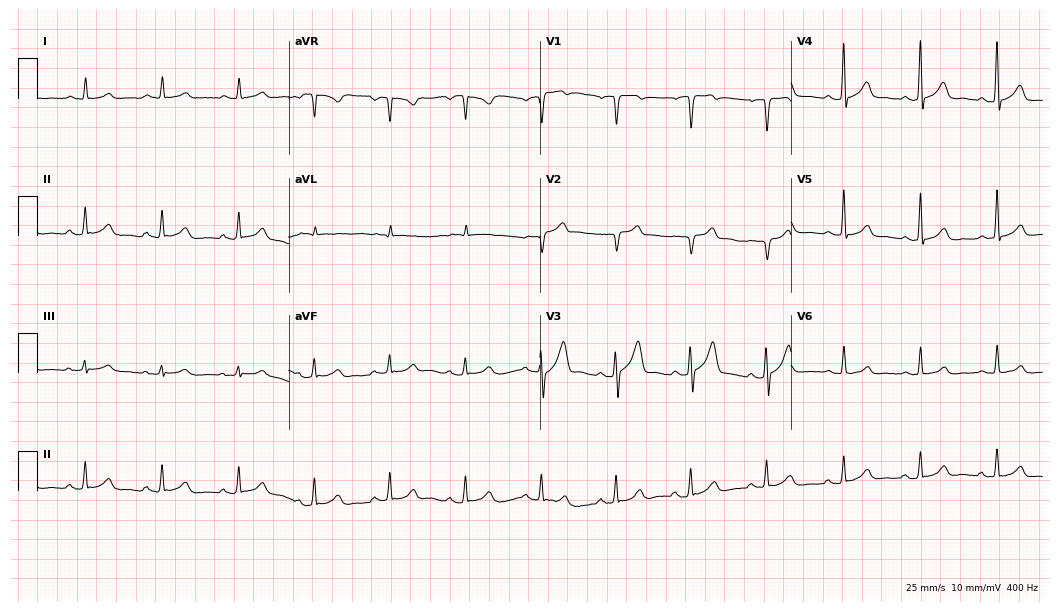
Standard 12-lead ECG recorded from a 61-year-old male. Read as a normal ECG.